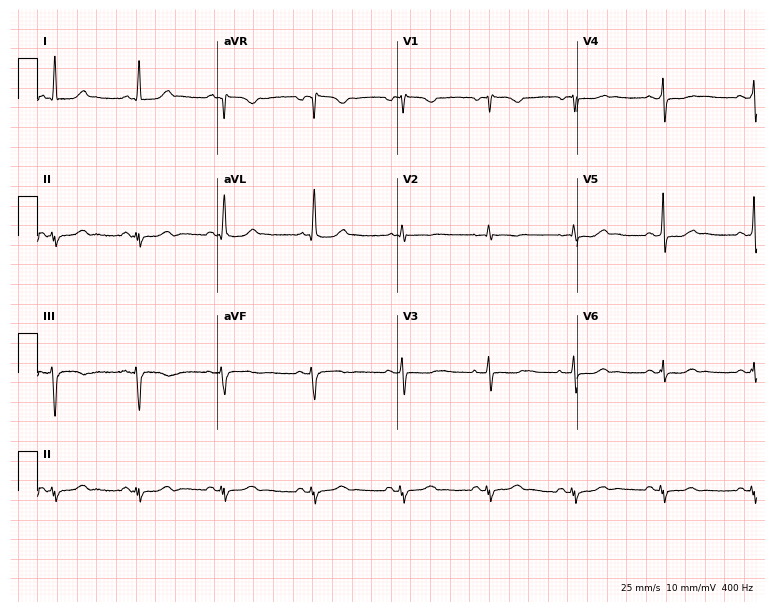
12-lead ECG from a female patient, 67 years old (7.3-second recording at 400 Hz). No first-degree AV block, right bundle branch block, left bundle branch block, sinus bradycardia, atrial fibrillation or sinus tachycardia recorded for this tracing.